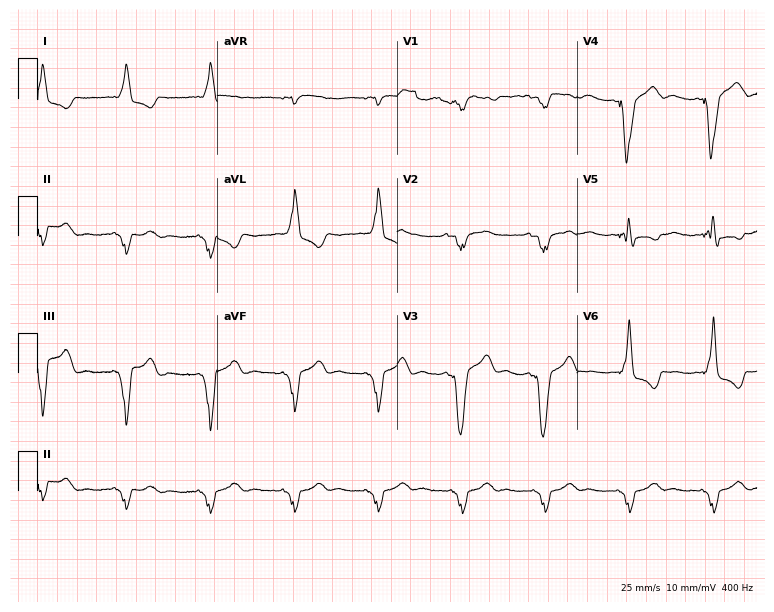
Resting 12-lead electrocardiogram. Patient: a 73-year-old female. None of these six findings is recorded: first-degree AV block, right bundle branch block (RBBB), left bundle branch block (LBBB), sinus bradycardia, atrial fibrillation (AF), sinus tachycardia. Findings outside these six are not listed.